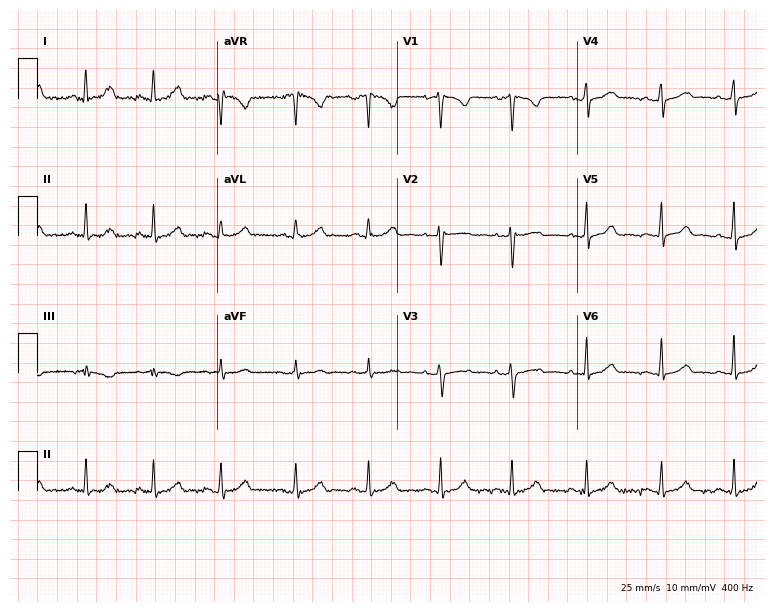
12-lead ECG from a female, 42 years old. Recorded interpretation: within normal limits.